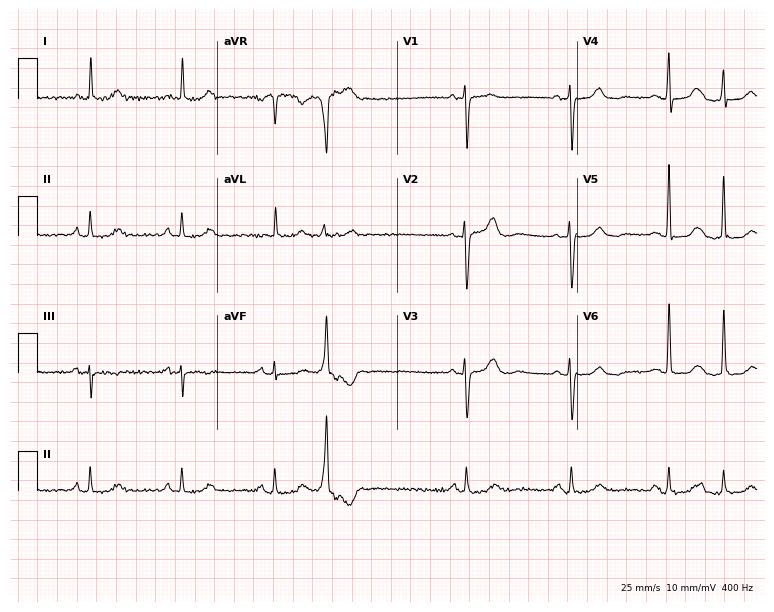
Electrocardiogram, a woman, 85 years old. Of the six screened findings (first-degree AV block, right bundle branch block (RBBB), left bundle branch block (LBBB), sinus bradycardia, atrial fibrillation (AF), sinus tachycardia), none is recorded.